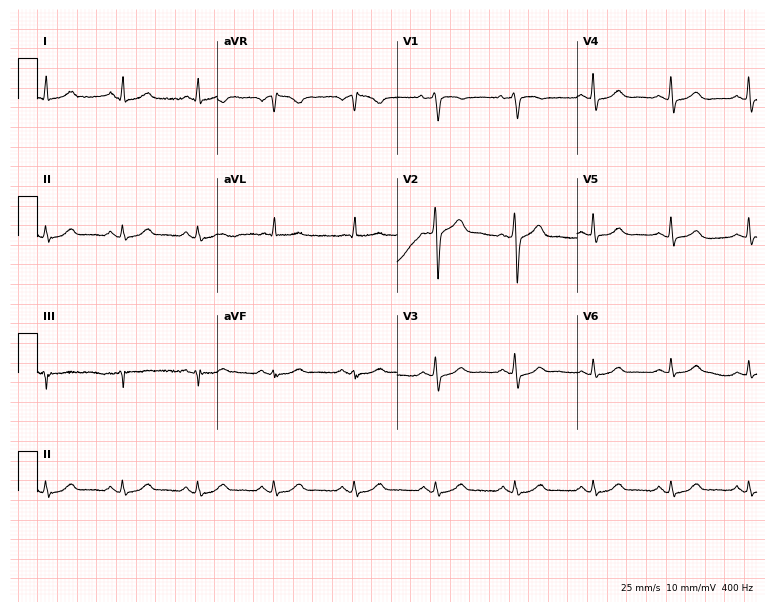
Standard 12-lead ECG recorded from a 60-year-old woman (7.3-second recording at 400 Hz). Read as a normal ECG.